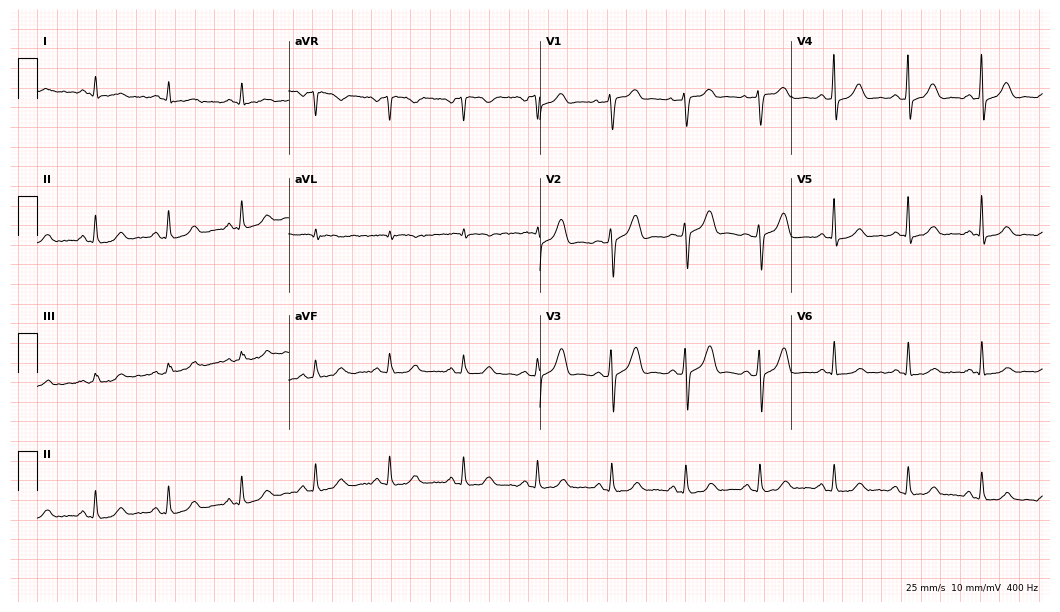
Resting 12-lead electrocardiogram (10.2-second recording at 400 Hz). Patient: a 53-year-old woman. None of these six findings is recorded: first-degree AV block, right bundle branch block, left bundle branch block, sinus bradycardia, atrial fibrillation, sinus tachycardia. Only these six findings were labelled.